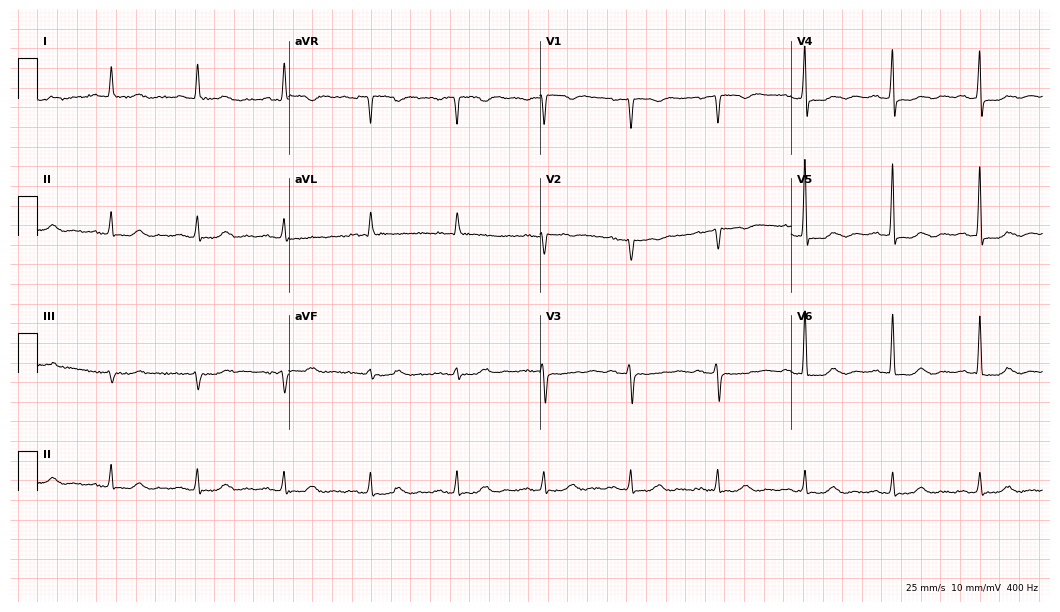
Standard 12-lead ECG recorded from a 68-year-old female. None of these six findings is recorded: first-degree AV block, right bundle branch block, left bundle branch block, sinus bradycardia, atrial fibrillation, sinus tachycardia.